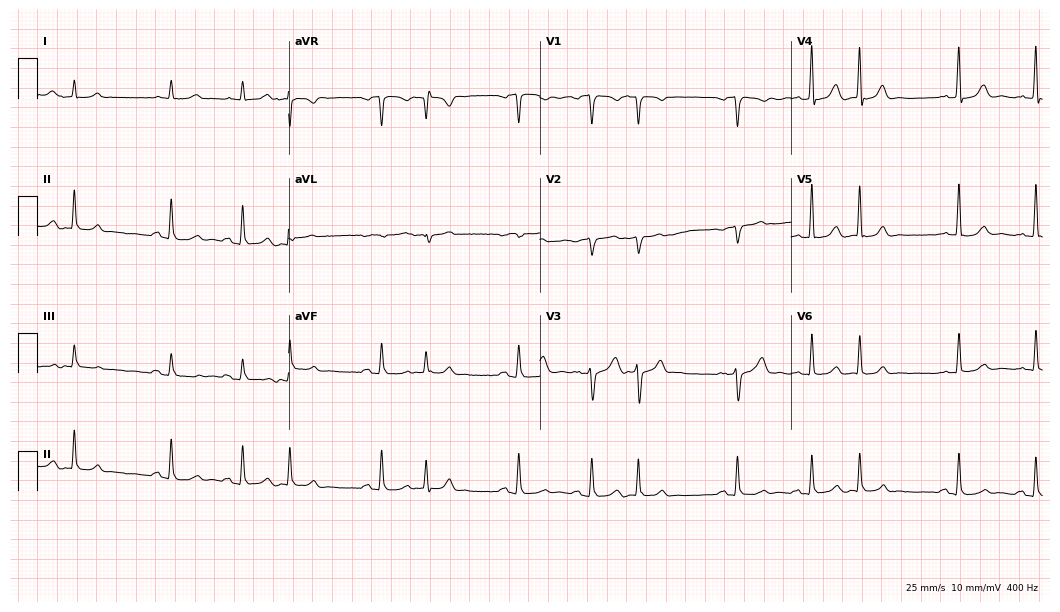
12-lead ECG from a male patient, 68 years old (10.2-second recording at 400 Hz). No first-degree AV block, right bundle branch block, left bundle branch block, sinus bradycardia, atrial fibrillation or sinus tachycardia recorded for this tracing. Findings outside these six are not listed.